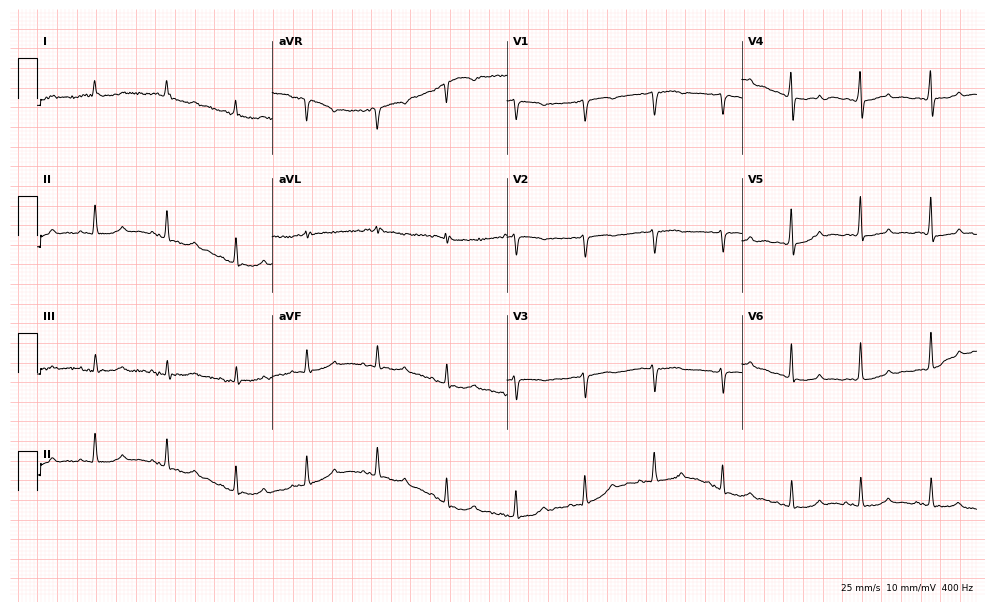
ECG (9.6-second recording at 400 Hz) — an 82-year-old female patient. Screened for six findings — first-degree AV block, right bundle branch block (RBBB), left bundle branch block (LBBB), sinus bradycardia, atrial fibrillation (AF), sinus tachycardia — none is recorded. Findings outside these six are not listed.